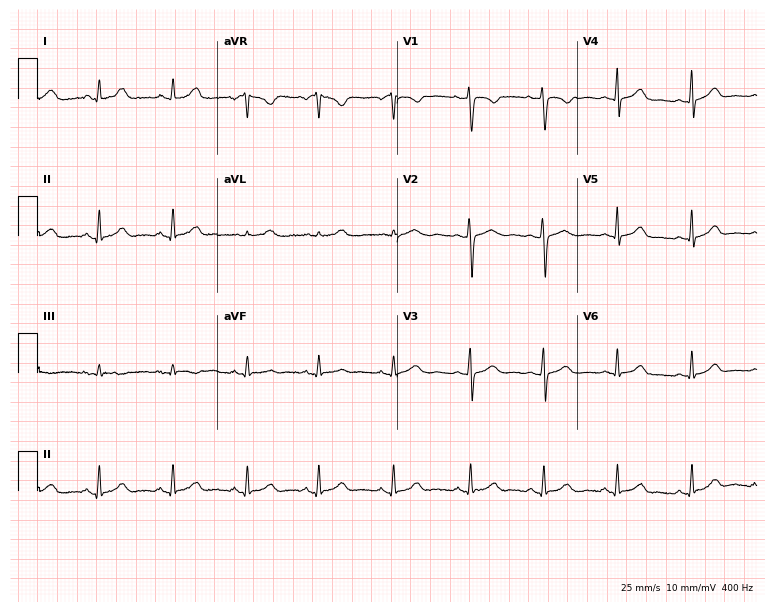
ECG — a female, 20 years old. Labelled as a normal ECG.